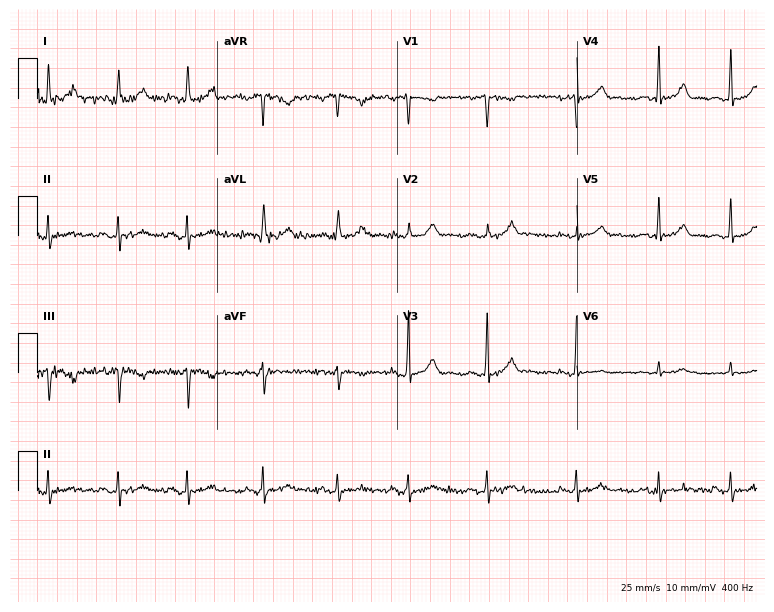
Resting 12-lead electrocardiogram. Patient: a 25-year-old female. Read as a normal ECG.